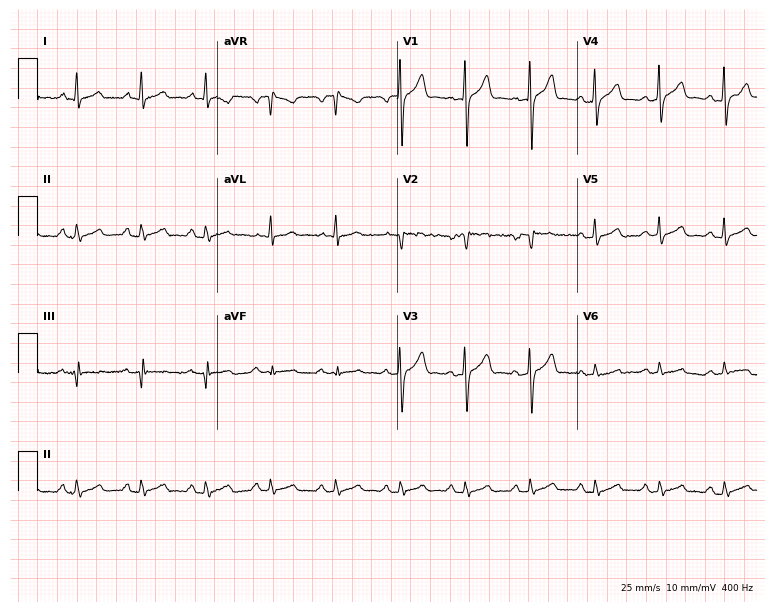
ECG — a man, 56 years old. Screened for six findings — first-degree AV block, right bundle branch block (RBBB), left bundle branch block (LBBB), sinus bradycardia, atrial fibrillation (AF), sinus tachycardia — none is recorded.